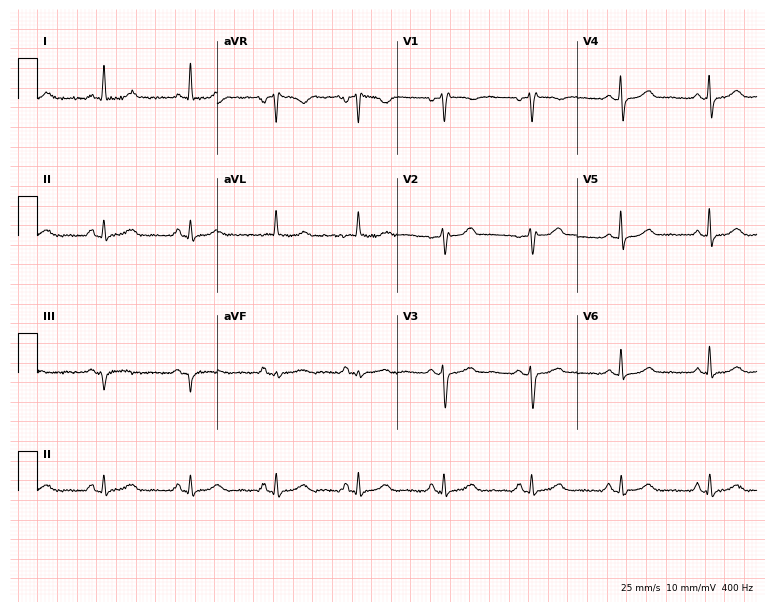
Standard 12-lead ECG recorded from a 63-year-old female. None of these six findings is recorded: first-degree AV block, right bundle branch block, left bundle branch block, sinus bradycardia, atrial fibrillation, sinus tachycardia. Only these six findings were labelled.